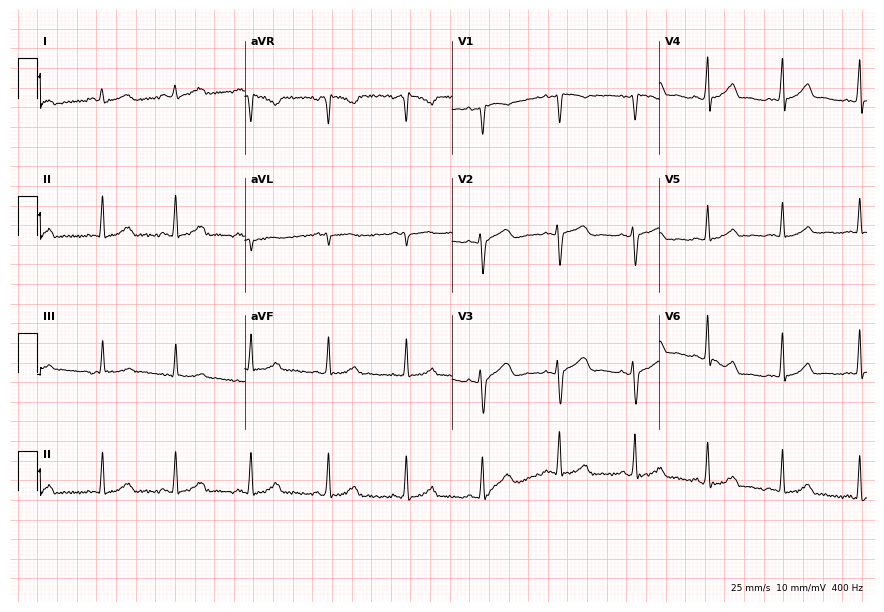
12-lead ECG from a female patient, 33 years old. Labelled as a normal ECG.